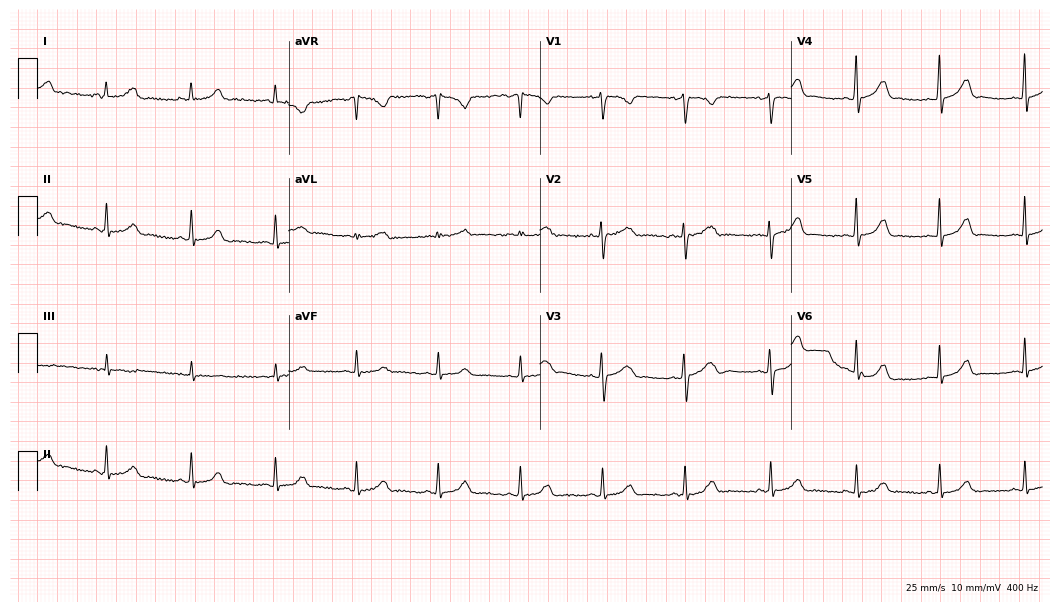
Standard 12-lead ECG recorded from a female patient, 23 years old (10.2-second recording at 400 Hz). None of these six findings is recorded: first-degree AV block, right bundle branch block, left bundle branch block, sinus bradycardia, atrial fibrillation, sinus tachycardia. Findings outside these six are not listed.